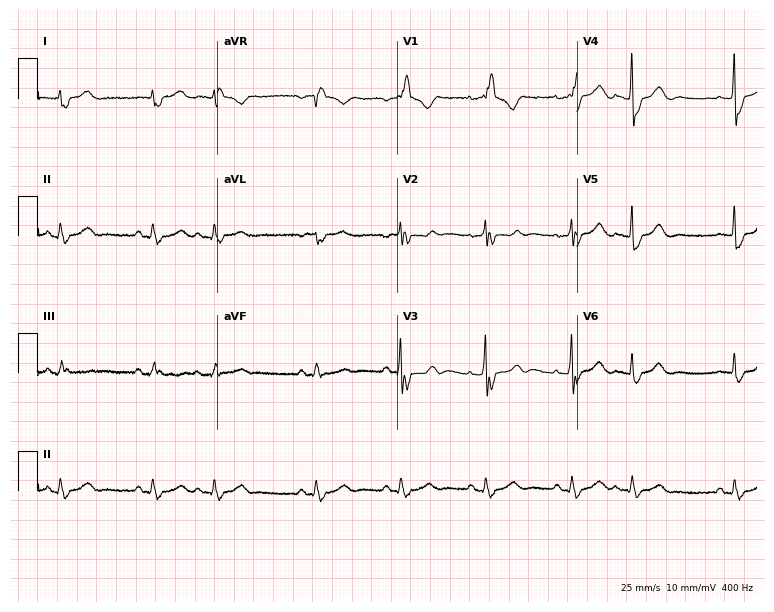
ECG — a woman, 80 years old. Screened for six findings — first-degree AV block, right bundle branch block, left bundle branch block, sinus bradycardia, atrial fibrillation, sinus tachycardia — none is recorded. Other findings, if any, are not listed.